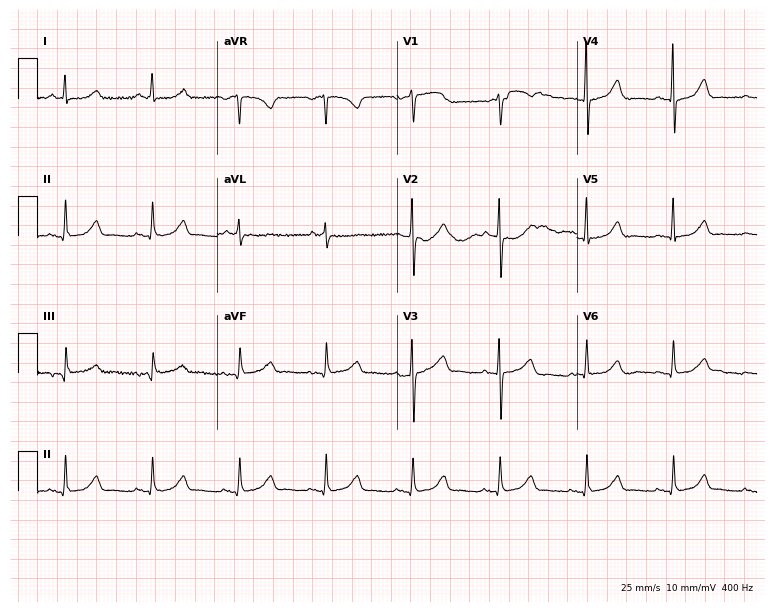
ECG — a woman, 69 years old. Labelled as a normal ECG.